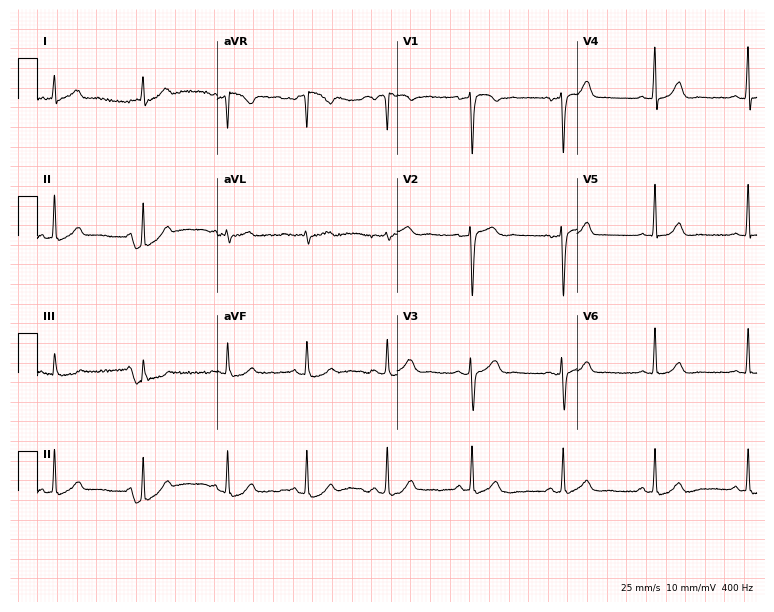
ECG (7.3-second recording at 400 Hz) — a female patient, 47 years old. Labelled as a normal ECG.